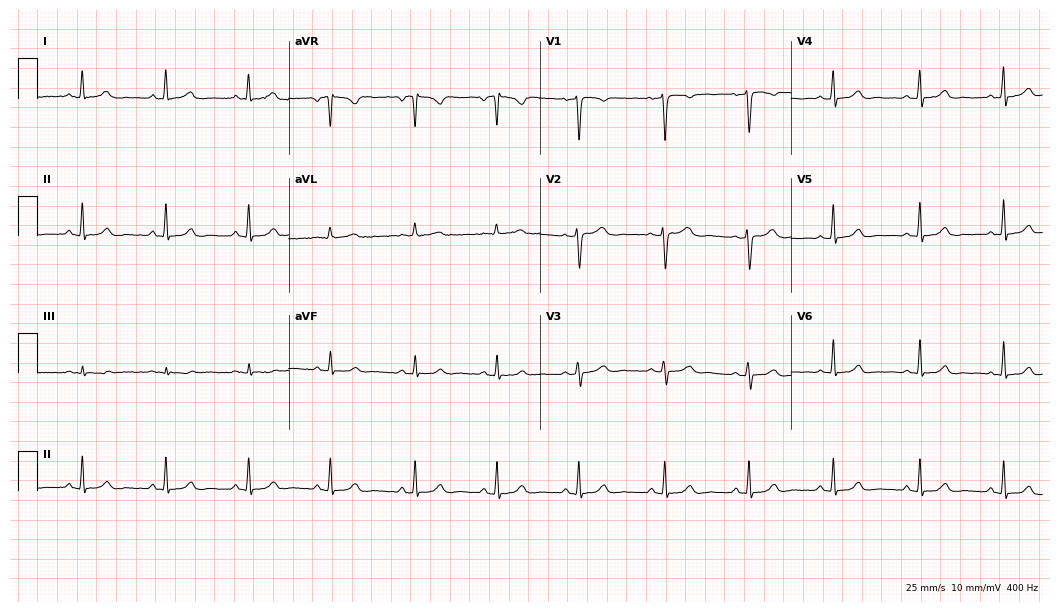
Standard 12-lead ECG recorded from a 42-year-old female (10.2-second recording at 400 Hz). Read as a normal ECG.